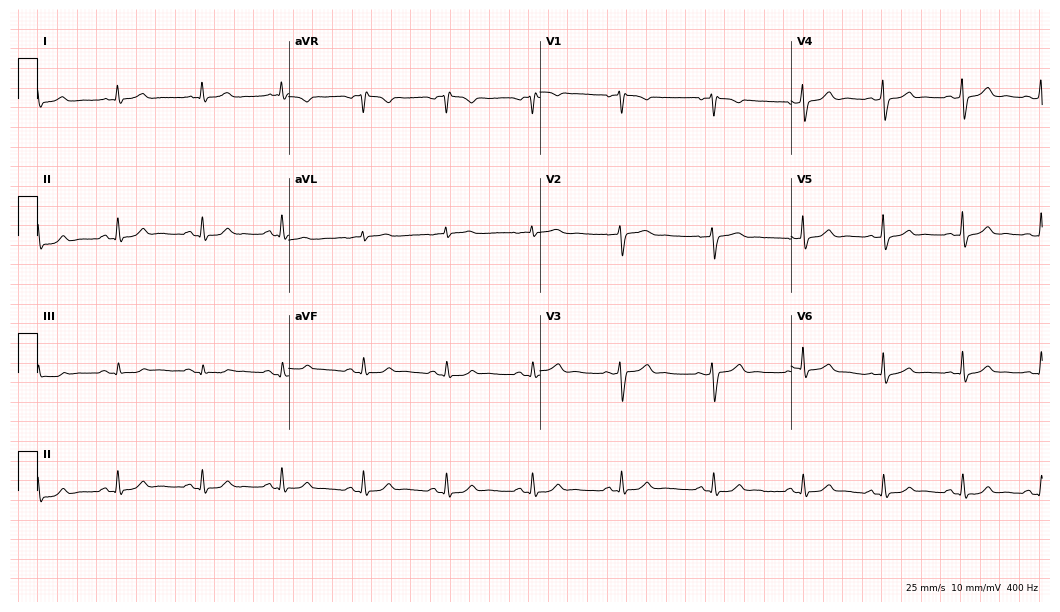
Resting 12-lead electrocardiogram. Patient: a female, 39 years old. Read as a normal ECG.